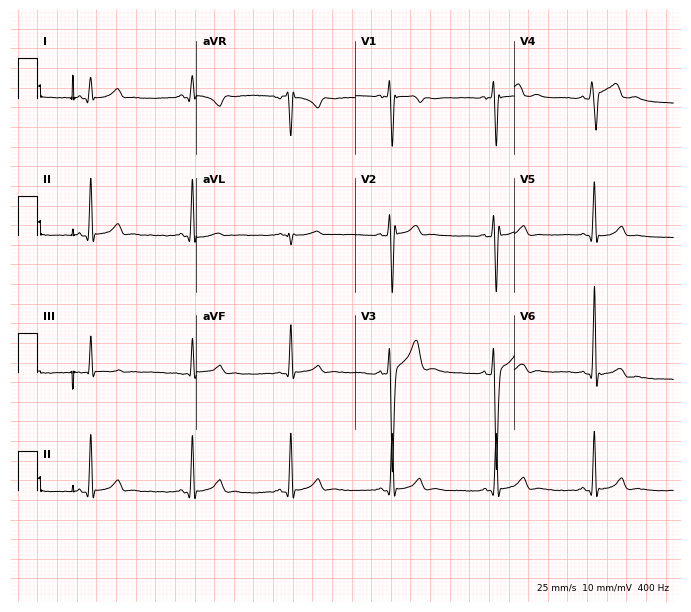
Resting 12-lead electrocardiogram (6.5-second recording at 400 Hz). Patient: a 19-year-old male. None of these six findings is recorded: first-degree AV block, right bundle branch block, left bundle branch block, sinus bradycardia, atrial fibrillation, sinus tachycardia.